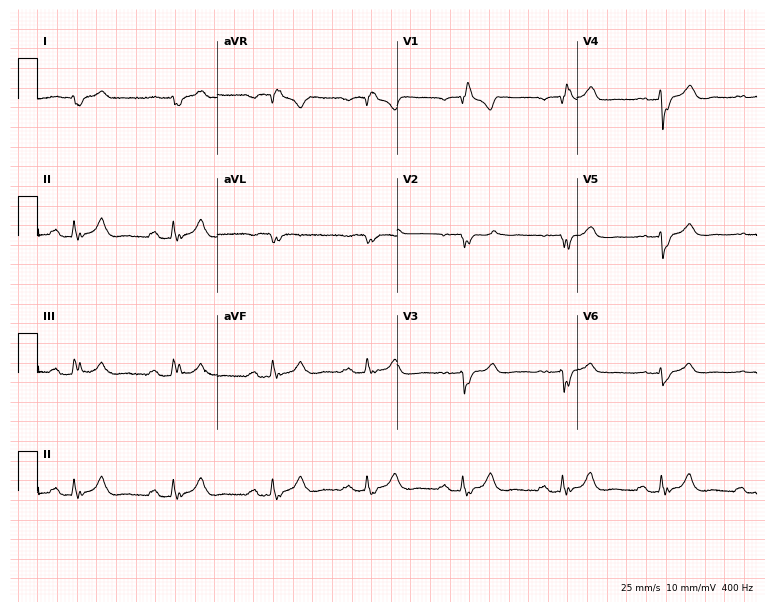
Electrocardiogram, a 61-year-old male patient. Of the six screened findings (first-degree AV block, right bundle branch block, left bundle branch block, sinus bradycardia, atrial fibrillation, sinus tachycardia), none is recorded.